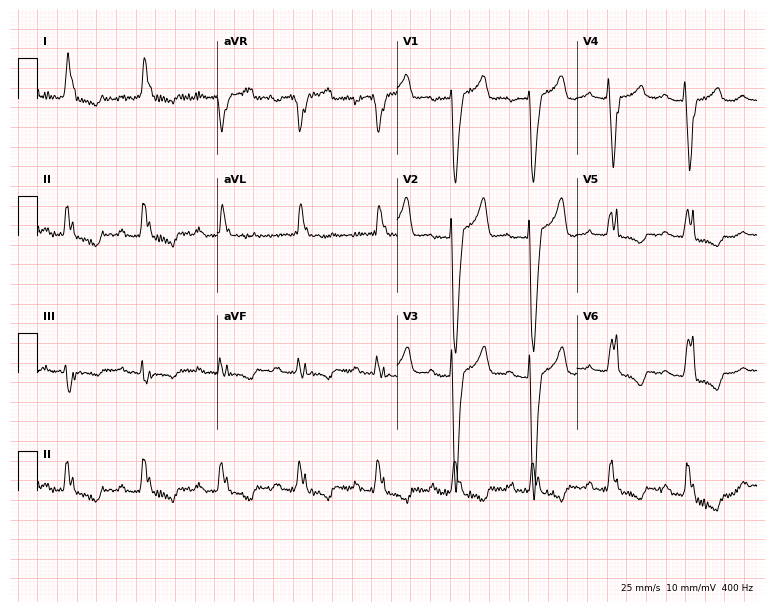
12-lead ECG from a 71-year-old female. Shows first-degree AV block, left bundle branch block.